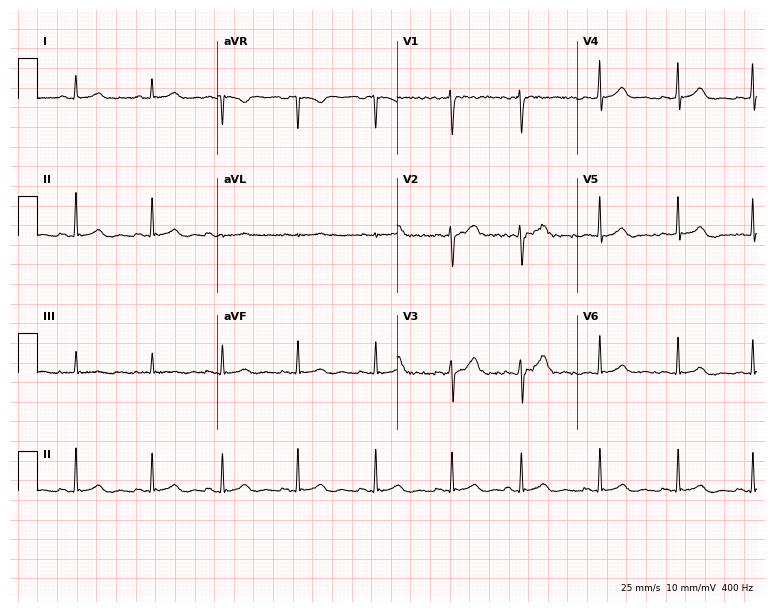
Electrocardiogram, a 29-year-old woman. Of the six screened findings (first-degree AV block, right bundle branch block (RBBB), left bundle branch block (LBBB), sinus bradycardia, atrial fibrillation (AF), sinus tachycardia), none is recorded. Only these six findings were labelled.